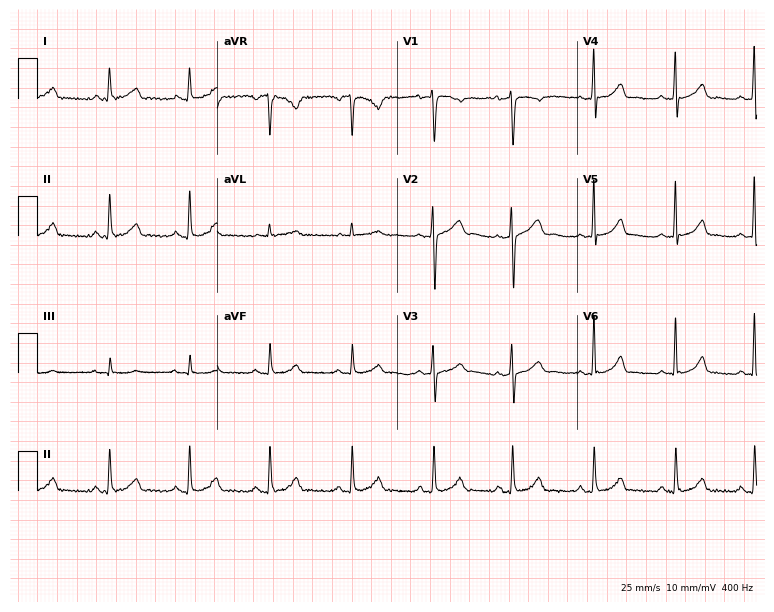
Standard 12-lead ECG recorded from a woman, 41 years old. Read as a normal ECG.